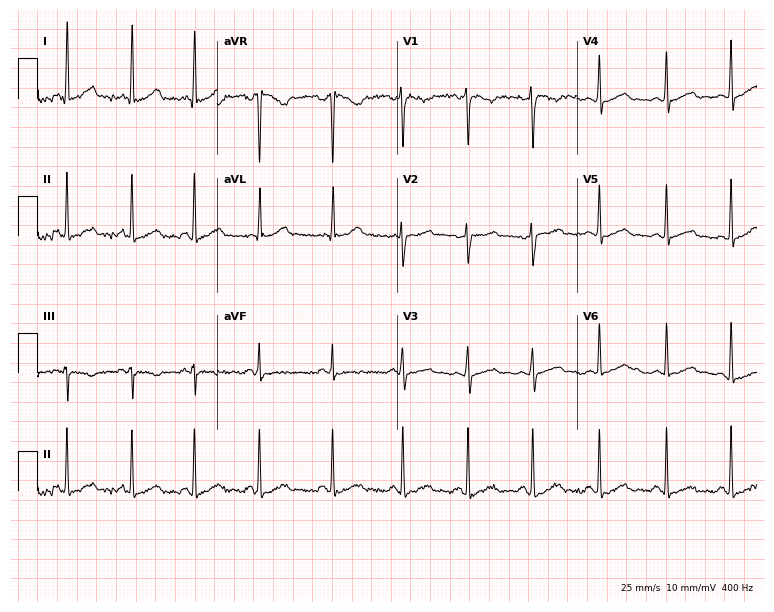
12-lead ECG from a 32-year-old woman. No first-degree AV block, right bundle branch block (RBBB), left bundle branch block (LBBB), sinus bradycardia, atrial fibrillation (AF) or sinus tachycardia recorded for this tracing. Findings outside these six are not listed.